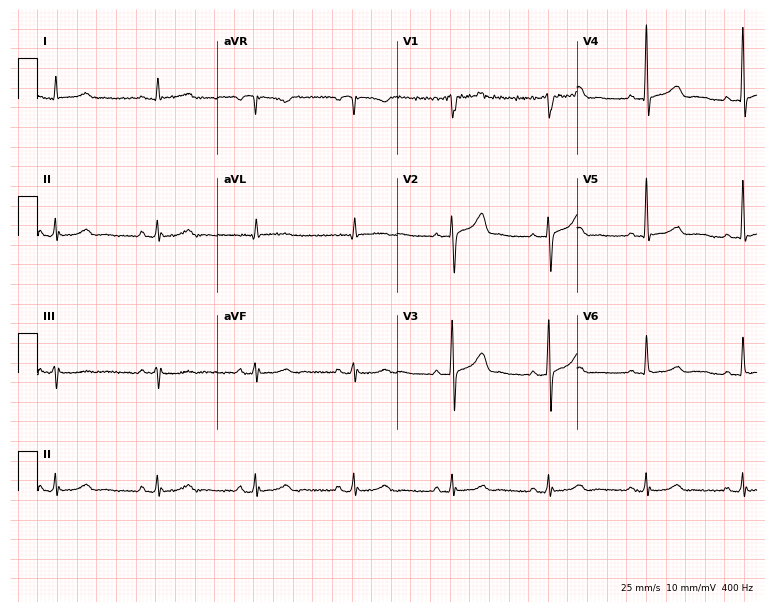
ECG — a male, 73 years old. Labelled as a normal ECG.